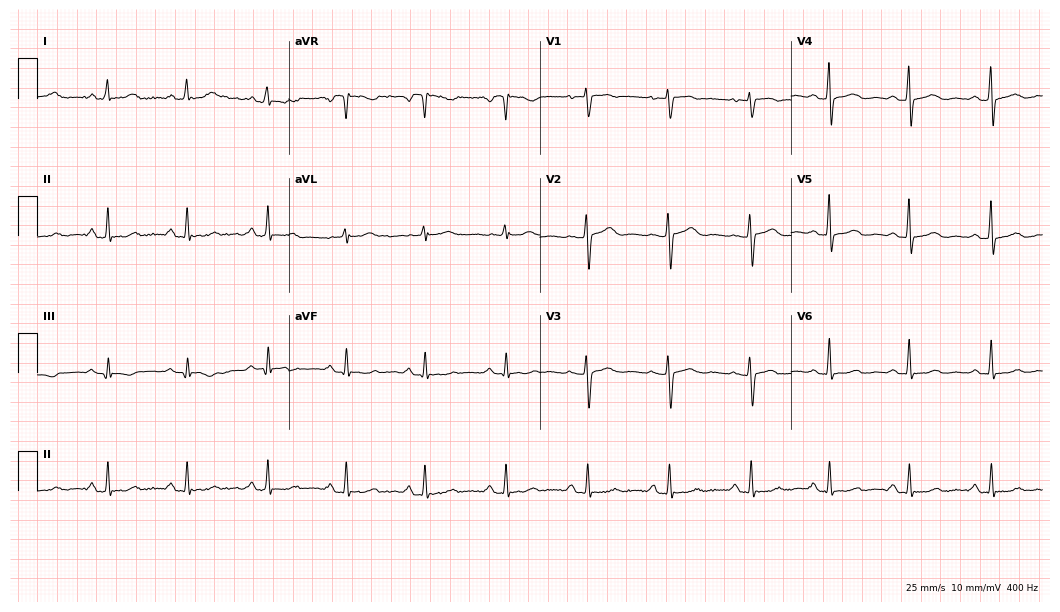
Resting 12-lead electrocardiogram. Patient: a 49-year-old woman. None of these six findings is recorded: first-degree AV block, right bundle branch block, left bundle branch block, sinus bradycardia, atrial fibrillation, sinus tachycardia.